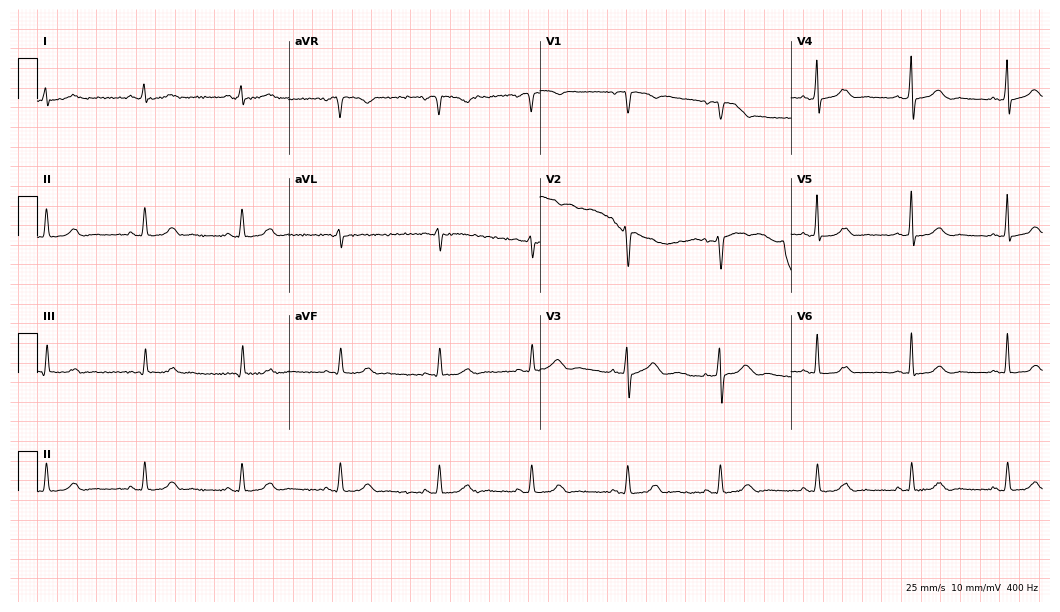
Standard 12-lead ECG recorded from a 39-year-old woman (10.2-second recording at 400 Hz). Read as a normal ECG.